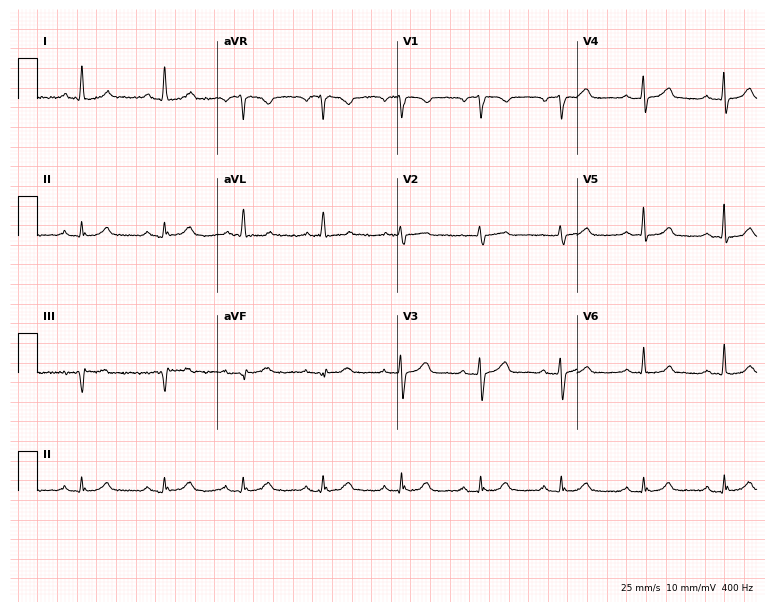
12-lead ECG (7.3-second recording at 400 Hz) from an 84-year-old female patient. Labelled as a normal ECG.